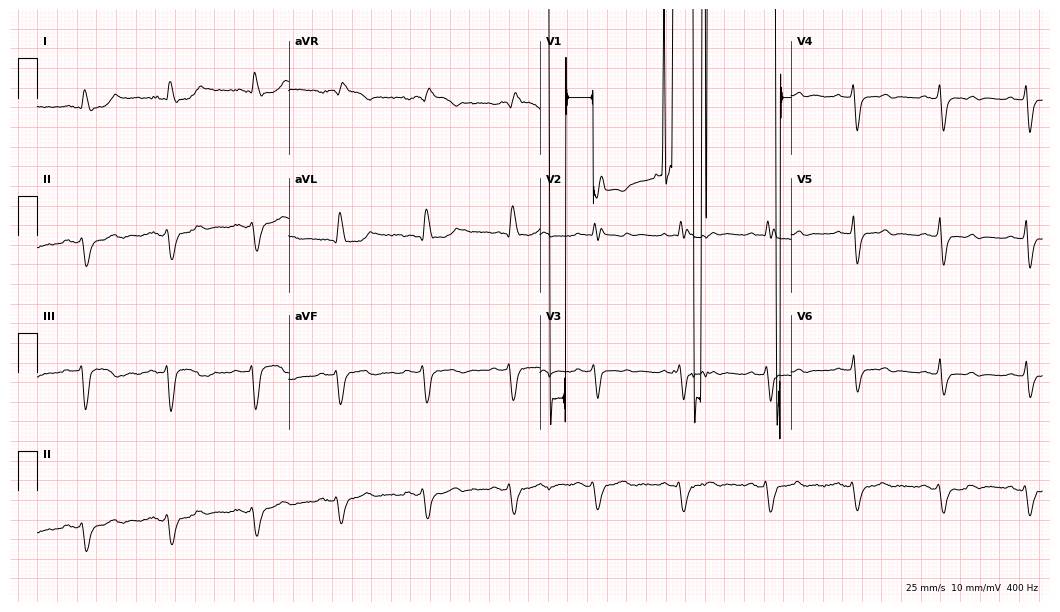
Resting 12-lead electrocardiogram (10.2-second recording at 400 Hz). Patient: a 69-year-old male. None of these six findings is recorded: first-degree AV block, right bundle branch block, left bundle branch block, sinus bradycardia, atrial fibrillation, sinus tachycardia. Findings outside these six are not listed.